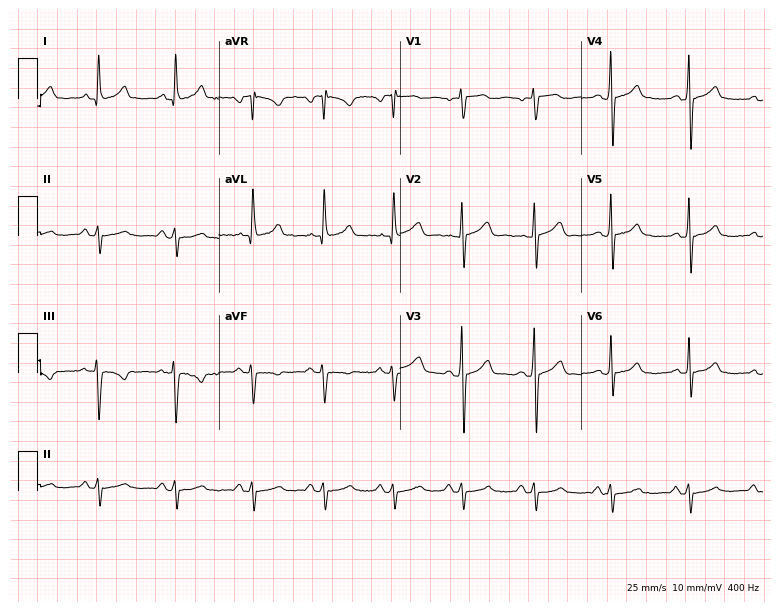
Electrocardiogram (7.4-second recording at 400 Hz), a 19-year-old female patient. Of the six screened findings (first-degree AV block, right bundle branch block (RBBB), left bundle branch block (LBBB), sinus bradycardia, atrial fibrillation (AF), sinus tachycardia), none is recorded. Findings outside these six are not listed.